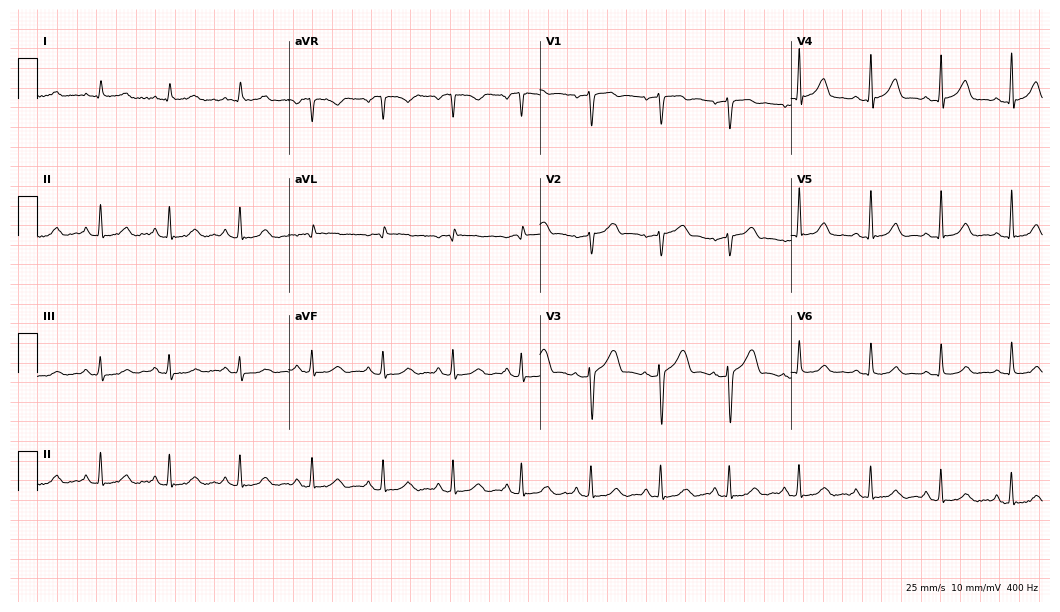
Standard 12-lead ECG recorded from a female, 51 years old. None of these six findings is recorded: first-degree AV block, right bundle branch block (RBBB), left bundle branch block (LBBB), sinus bradycardia, atrial fibrillation (AF), sinus tachycardia.